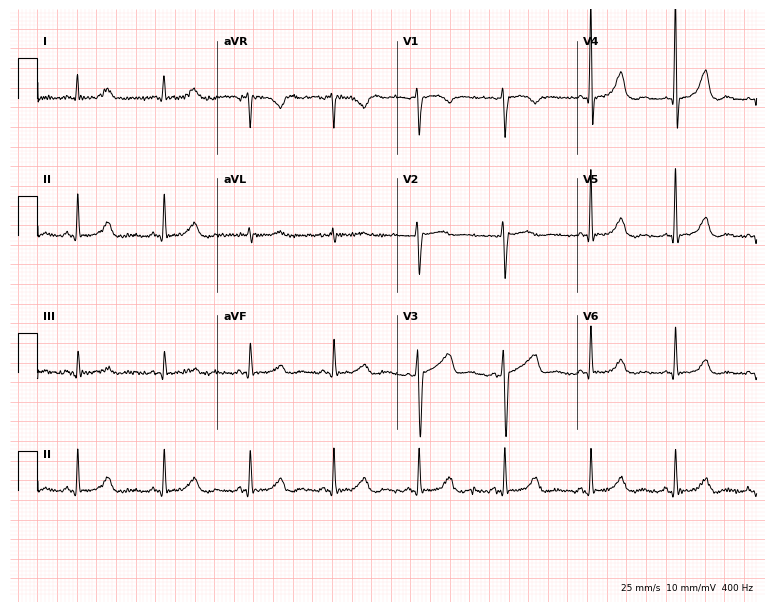
Resting 12-lead electrocardiogram (7.3-second recording at 400 Hz). Patient: a 40-year-old female. Read as a normal ECG.